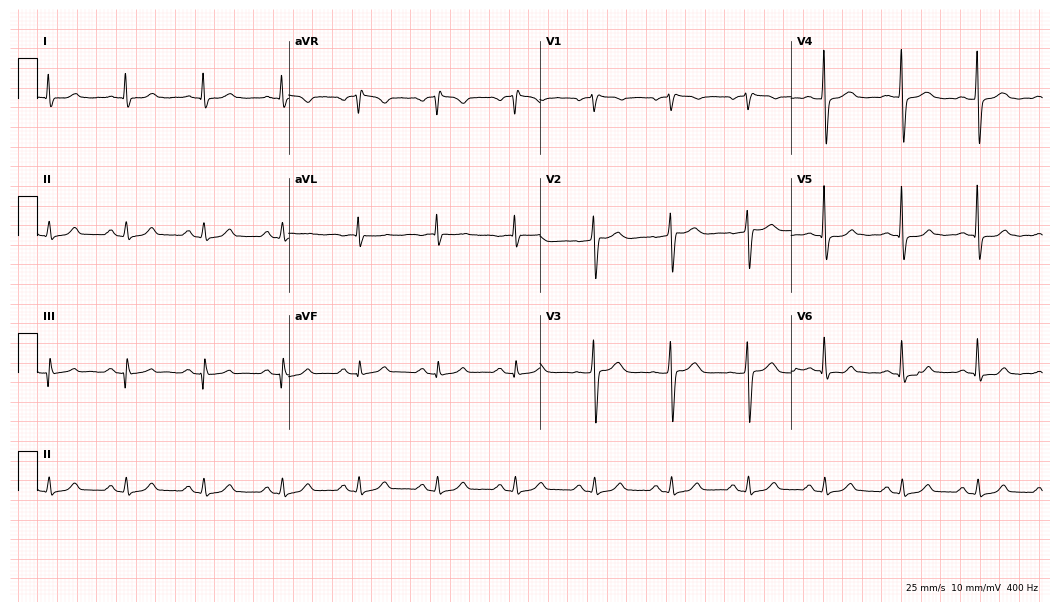
Resting 12-lead electrocardiogram (10.2-second recording at 400 Hz). Patient: a 66-year-old male. Read as a normal ECG.